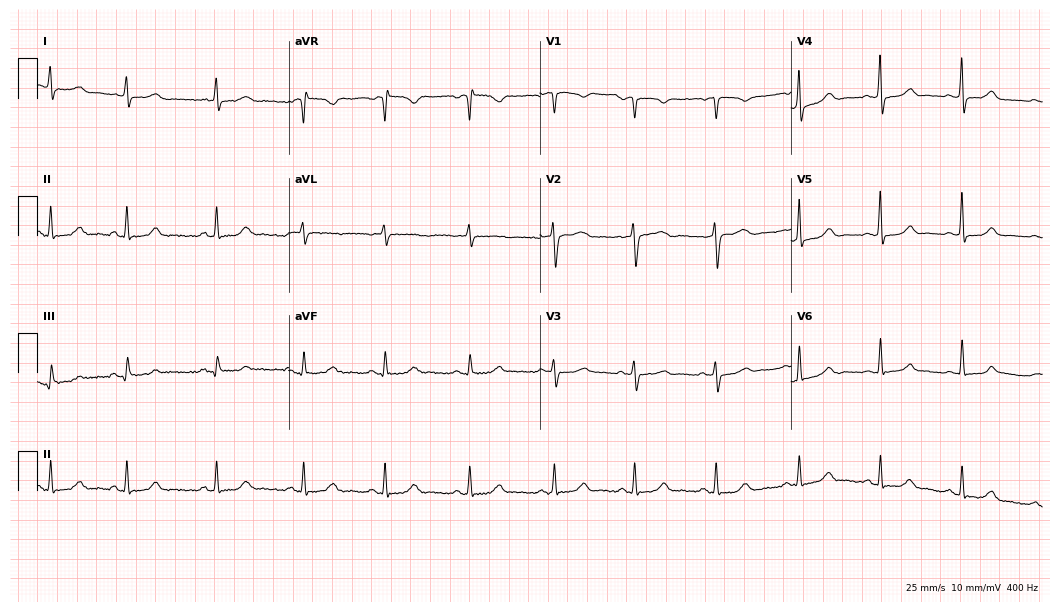
ECG (10.2-second recording at 400 Hz) — a female, 32 years old. Labelled as a normal ECG.